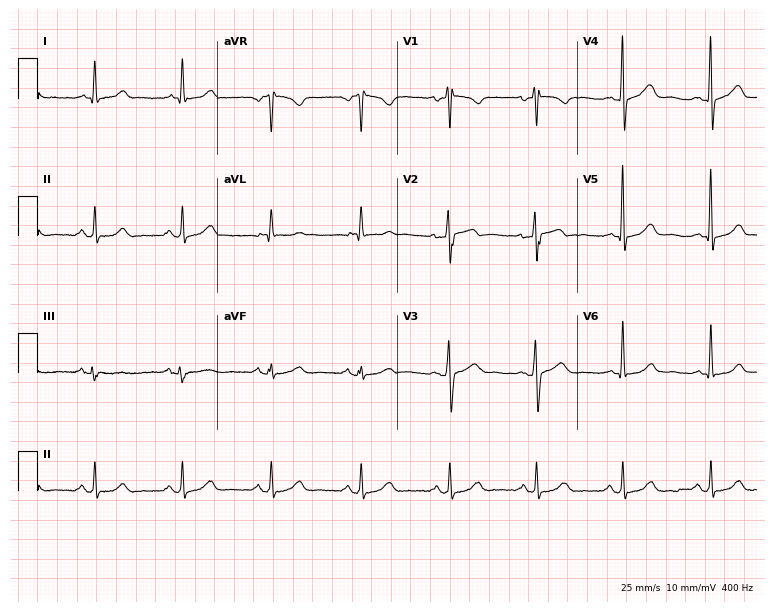
Standard 12-lead ECG recorded from a 66-year-old male (7.3-second recording at 400 Hz). None of these six findings is recorded: first-degree AV block, right bundle branch block, left bundle branch block, sinus bradycardia, atrial fibrillation, sinus tachycardia.